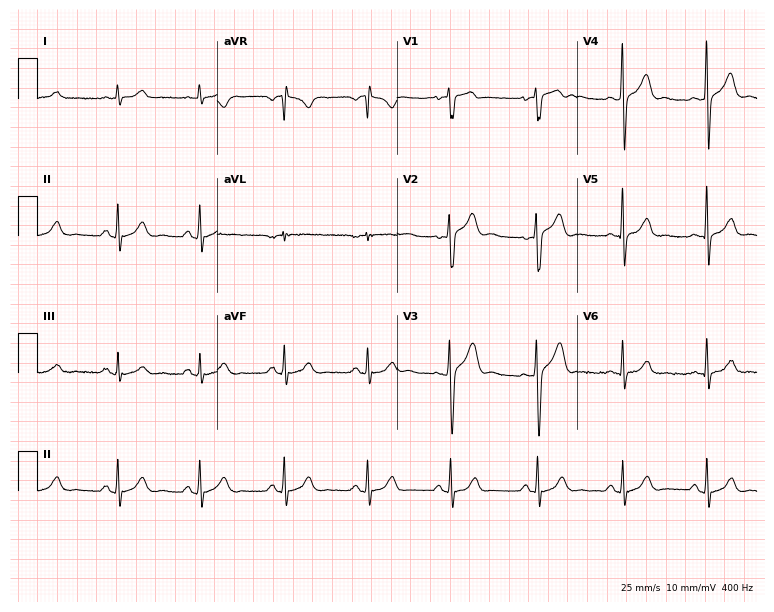
12-lead ECG from a 37-year-old male patient. Screened for six findings — first-degree AV block, right bundle branch block, left bundle branch block, sinus bradycardia, atrial fibrillation, sinus tachycardia — none is recorded.